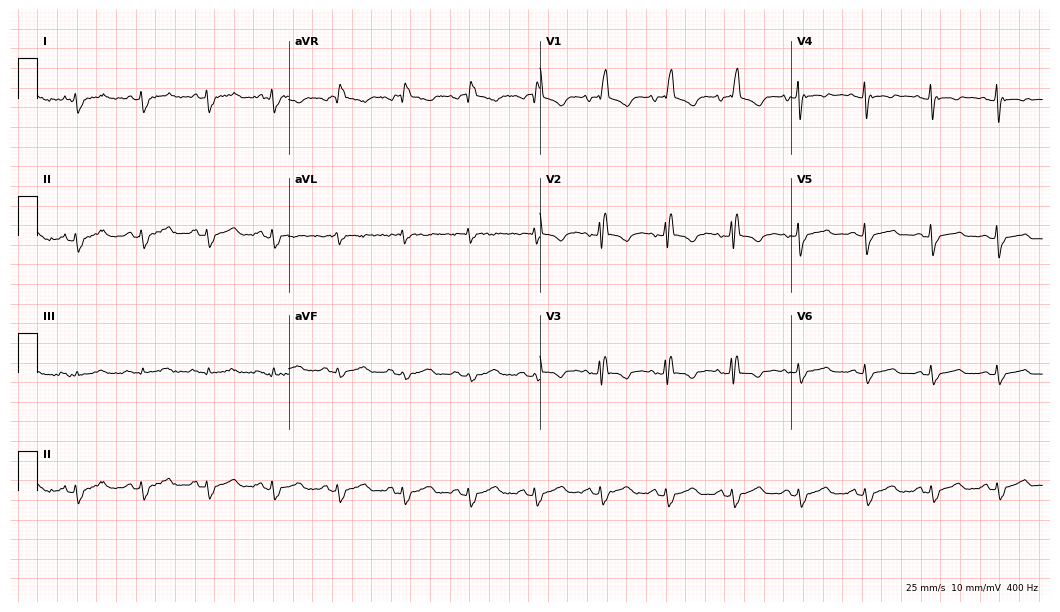
12-lead ECG from a female, 64 years old. Shows right bundle branch block.